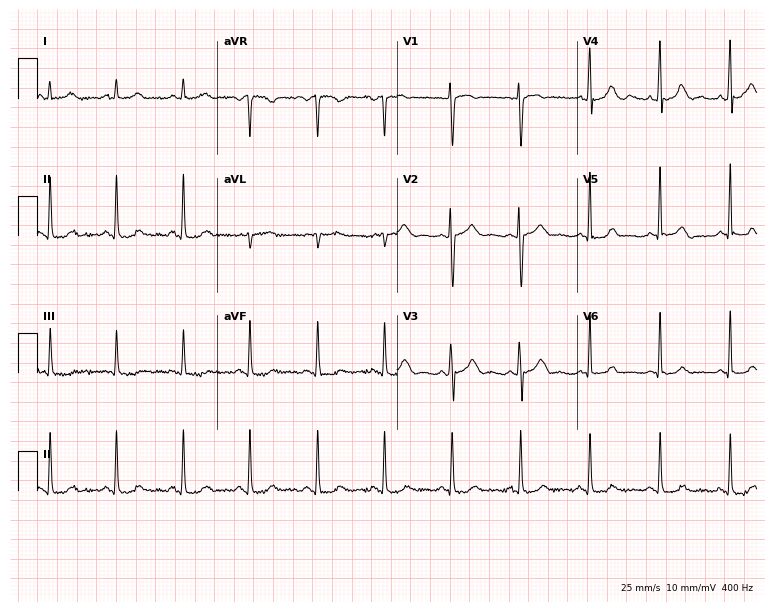
Standard 12-lead ECG recorded from a 29-year-old woman. None of these six findings is recorded: first-degree AV block, right bundle branch block (RBBB), left bundle branch block (LBBB), sinus bradycardia, atrial fibrillation (AF), sinus tachycardia. Other findings, if any, are not listed.